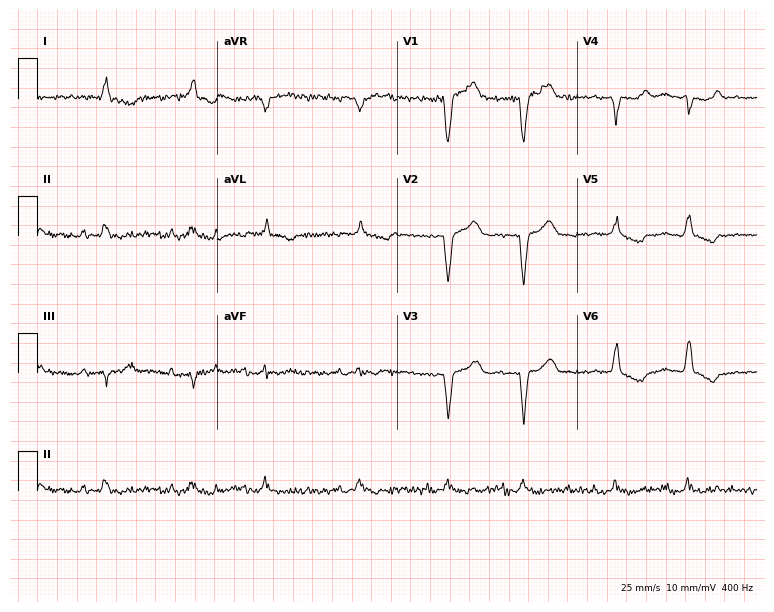
Standard 12-lead ECG recorded from a 71-year-old male (7.3-second recording at 400 Hz). None of these six findings is recorded: first-degree AV block, right bundle branch block (RBBB), left bundle branch block (LBBB), sinus bradycardia, atrial fibrillation (AF), sinus tachycardia. Findings outside these six are not listed.